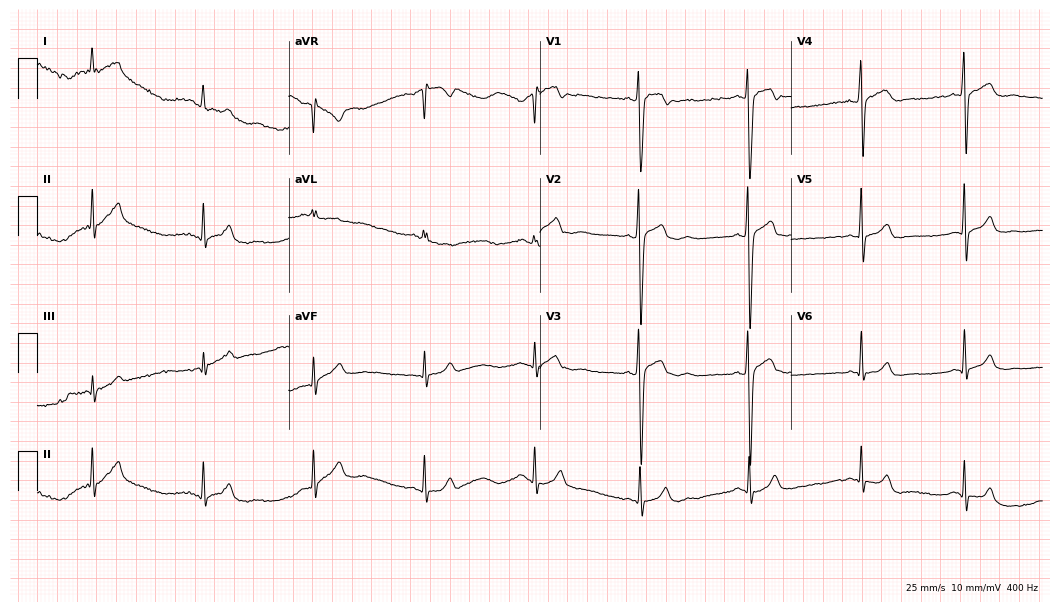
Standard 12-lead ECG recorded from a 19-year-old man. Read as a normal ECG.